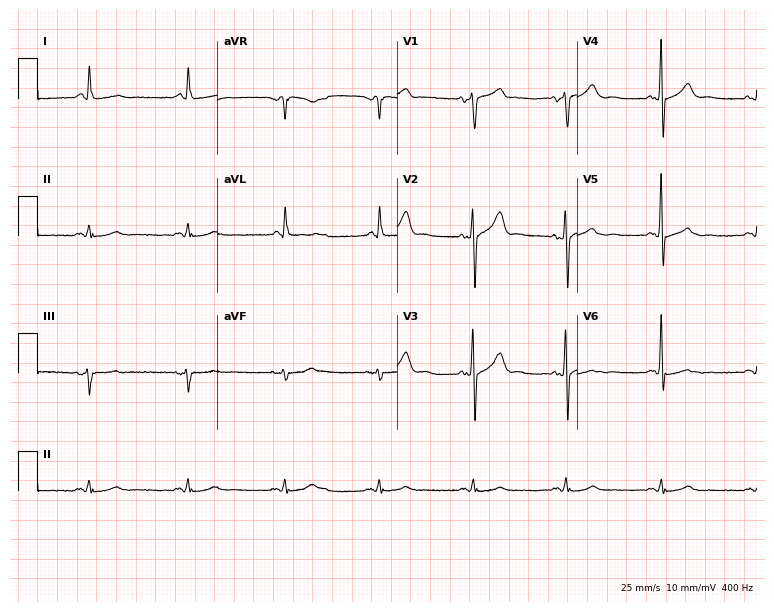
Resting 12-lead electrocardiogram (7.3-second recording at 400 Hz). Patient: a 62-year-old man. None of these six findings is recorded: first-degree AV block, right bundle branch block, left bundle branch block, sinus bradycardia, atrial fibrillation, sinus tachycardia. Other findings, if any, are not listed.